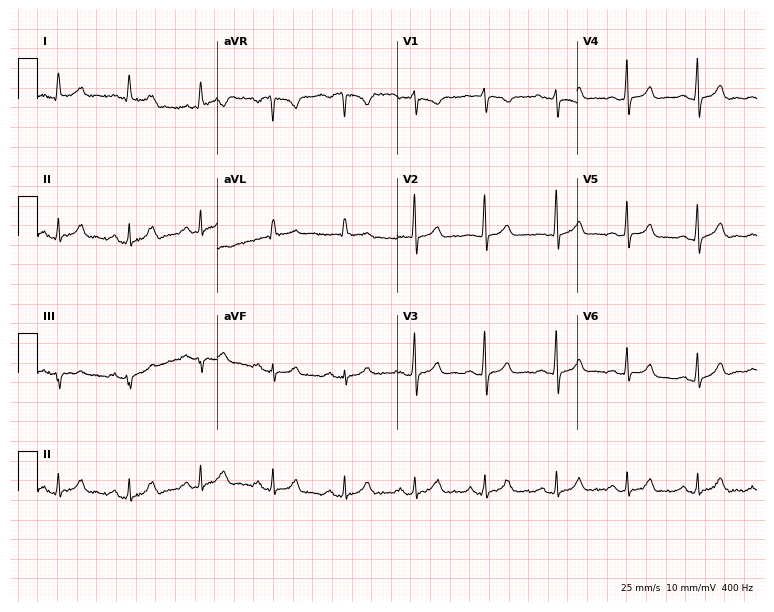
Resting 12-lead electrocardiogram (7.3-second recording at 400 Hz). Patient: a woman, 62 years old. Read as a normal ECG.